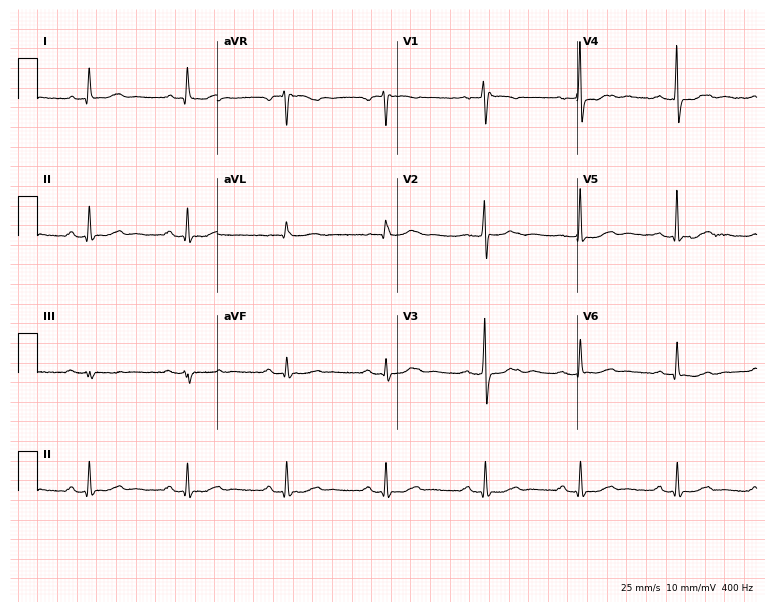
ECG — a female patient, 76 years old. Labelled as a normal ECG.